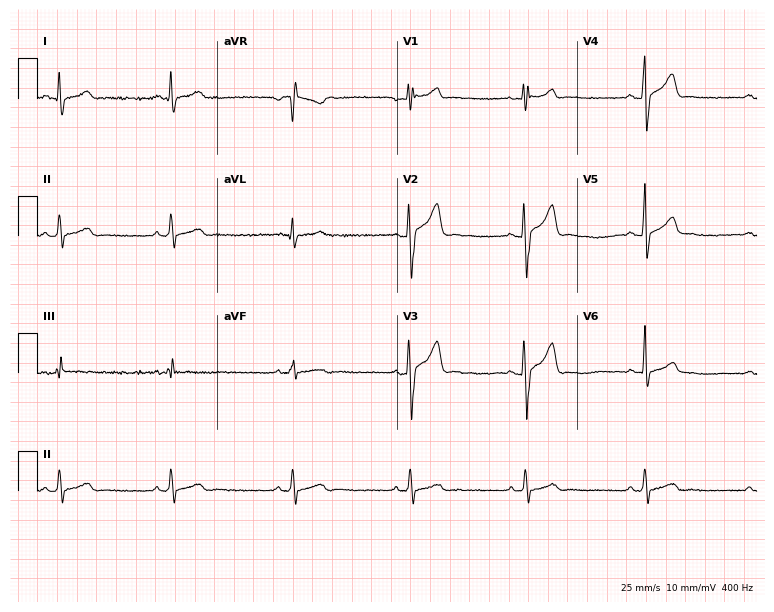
12-lead ECG (7.3-second recording at 400 Hz) from a man, 28 years old. Screened for six findings — first-degree AV block, right bundle branch block, left bundle branch block, sinus bradycardia, atrial fibrillation, sinus tachycardia — none is recorded.